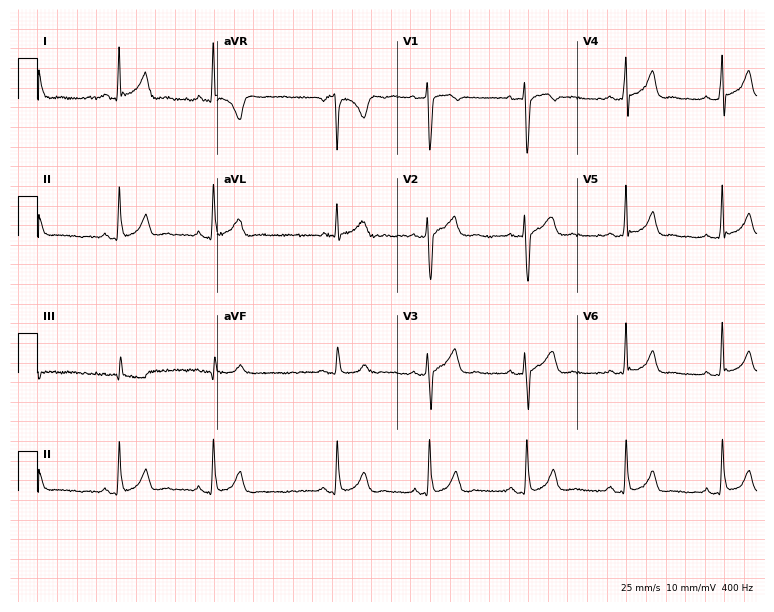
Resting 12-lead electrocardiogram. Patient: a woman, 25 years old. None of these six findings is recorded: first-degree AV block, right bundle branch block, left bundle branch block, sinus bradycardia, atrial fibrillation, sinus tachycardia. Only these six findings were labelled.